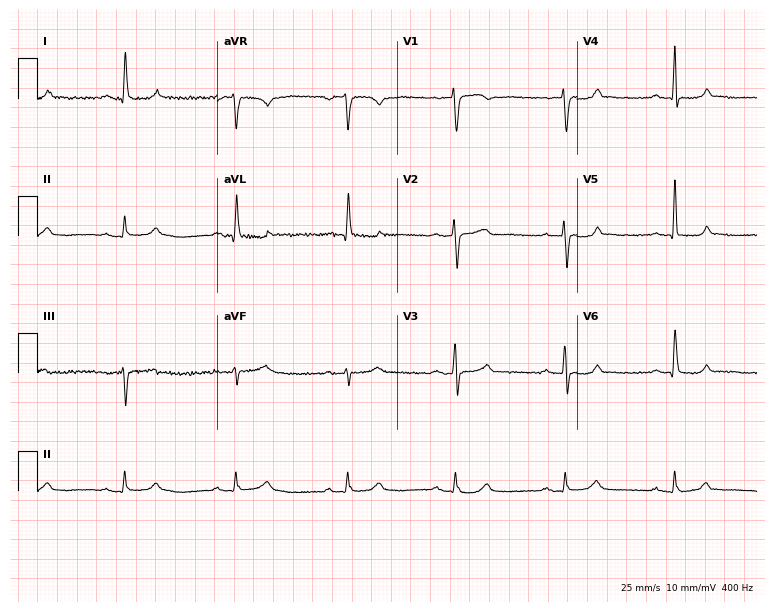
Resting 12-lead electrocardiogram. Patient: an 80-year-old male. Read as a normal ECG.